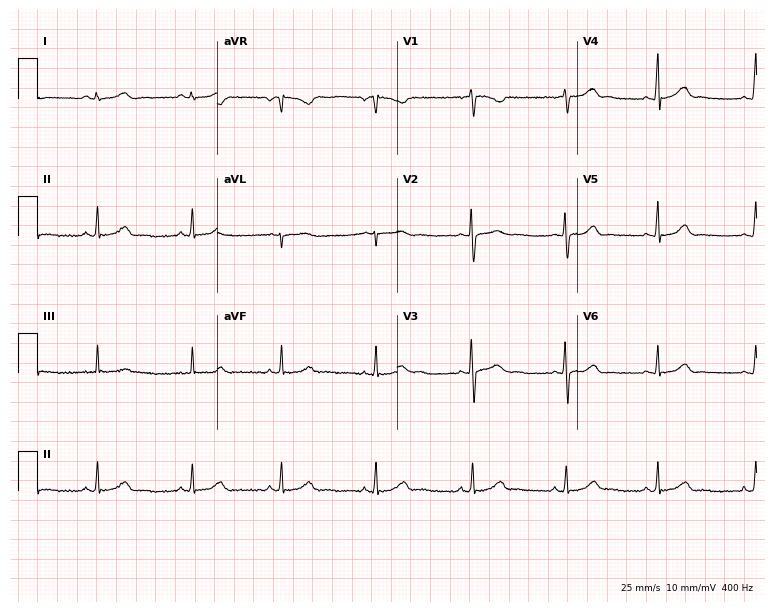
12-lead ECG from a 19-year-old woman (7.3-second recording at 400 Hz). Recorded interpretation: within normal limits.